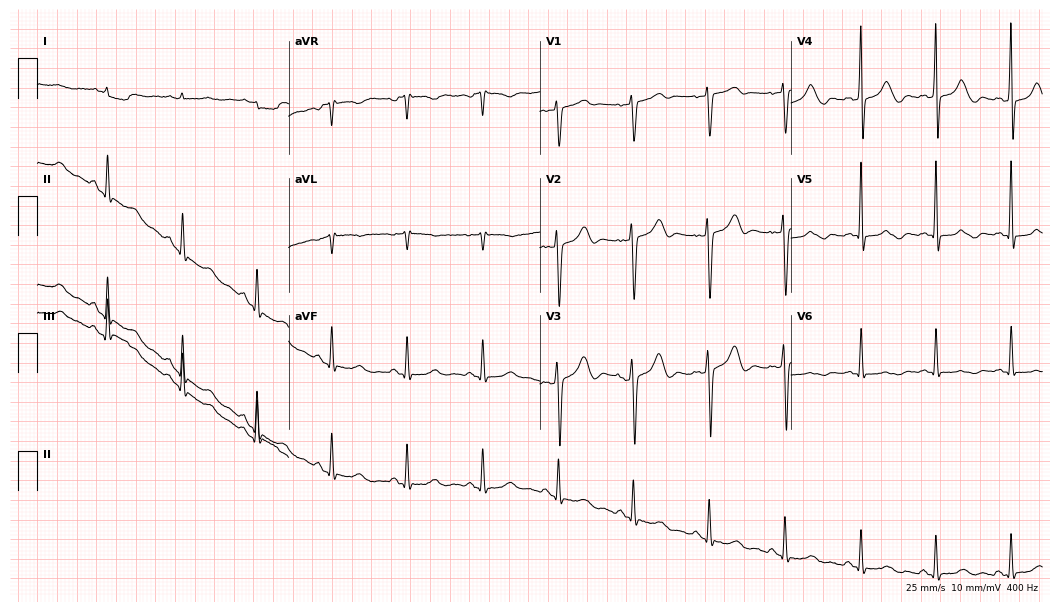
ECG — a 69-year-old female. Screened for six findings — first-degree AV block, right bundle branch block, left bundle branch block, sinus bradycardia, atrial fibrillation, sinus tachycardia — none is recorded. Findings outside these six are not listed.